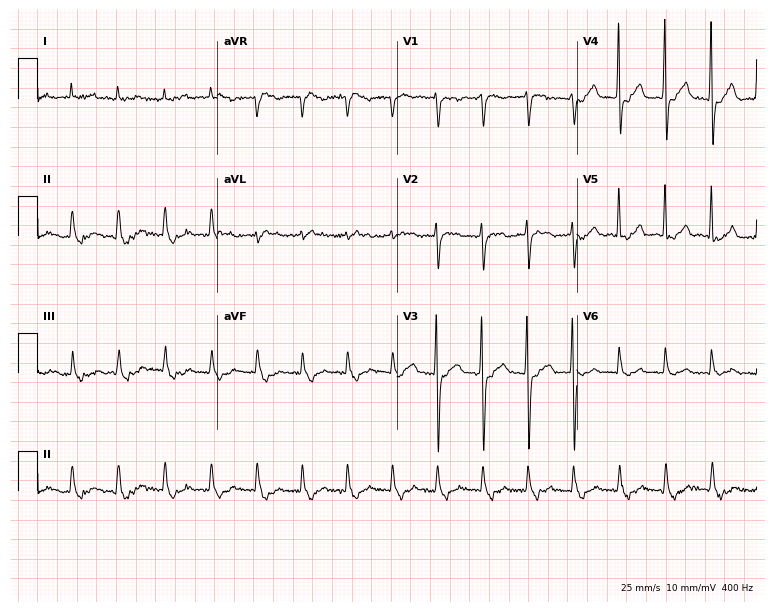
Electrocardiogram (7.3-second recording at 400 Hz), a 67-year-old woman. Of the six screened findings (first-degree AV block, right bundle branch block, left bundle branch block, sinus bradycardia, atrial fibrillation, sinus tachycardia), none is recorded.